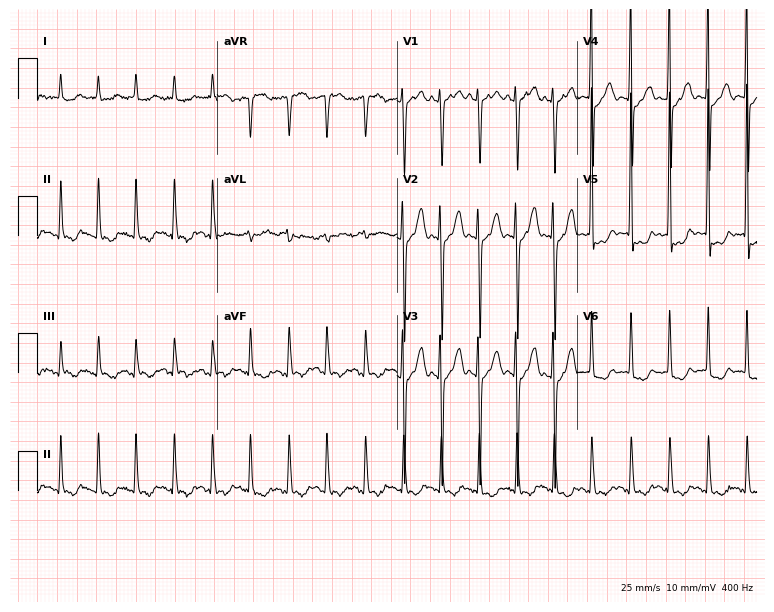
Standard 12-lead ECG recorded from a woman, 85 years old. None of these six findings is recorded: first-degree AV block, right bundle branch block, left bundle branch block, sinus bradycardia, atrial fibrillation, sinus tachycardia. Only these six findings were labelled.